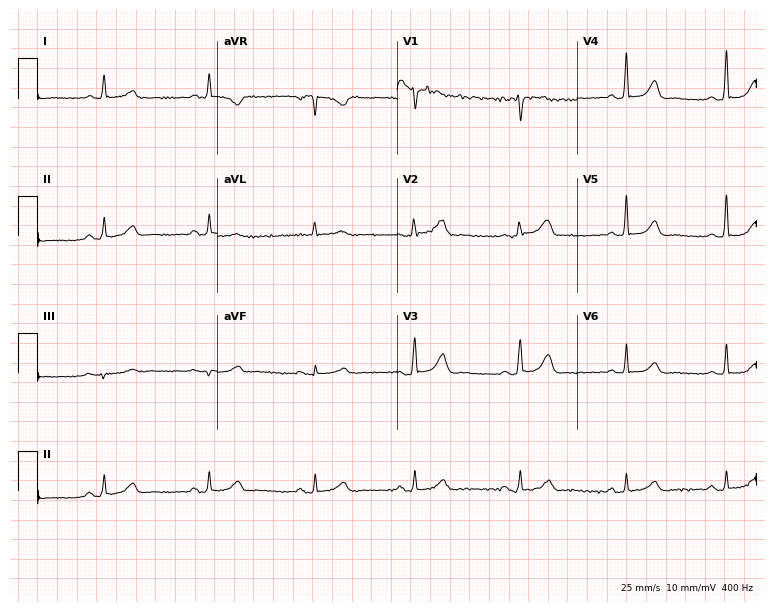
Standard 12-lead ECG recorded from a female patient, 50 years old (7.3-second recording at 400 Hz). None of these six findings is recorded: first-degree AV block, right bundle branch block (RBBB), left bundle branch block (LBBB), sinus bradycardia, atrial fibrillation (AF), sinus tachycardia. Other findings, if any, are not listed.